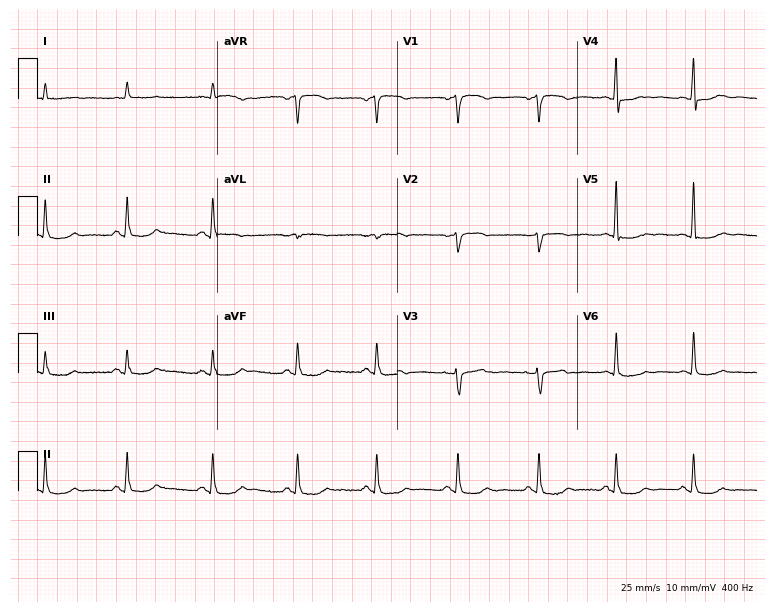
Electrocardiogram (7.3-second recording at 400 Hz), a 53-year-old female. Overall reading on record: normal ECG.